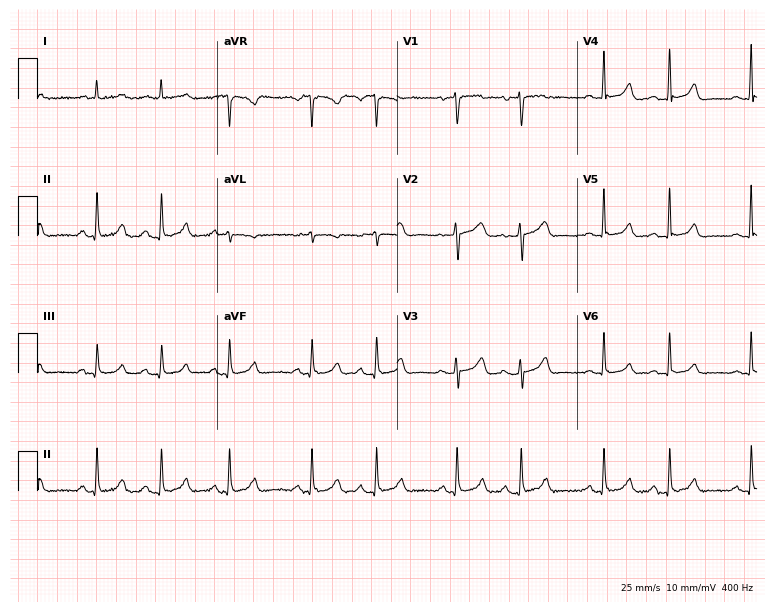
Electrocardiogram (7.3-second recording at 400 Hz), a female, 52 years old. Overall reading on record: normal ECG.